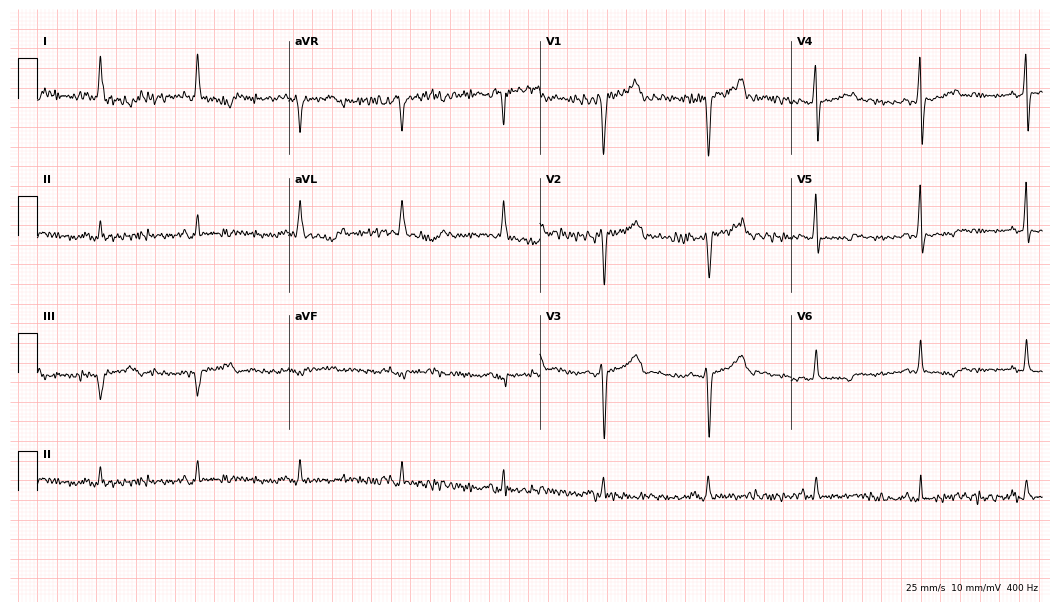
12-lead ECG from a 59-year-old female patient (10.2-second recording at 400 Hz). No first-degree AV block, right bundle branch block, left bundle branch block, sinus bradycardia, atrial fibrillation or sinus tachycardia recorded for this tracing.